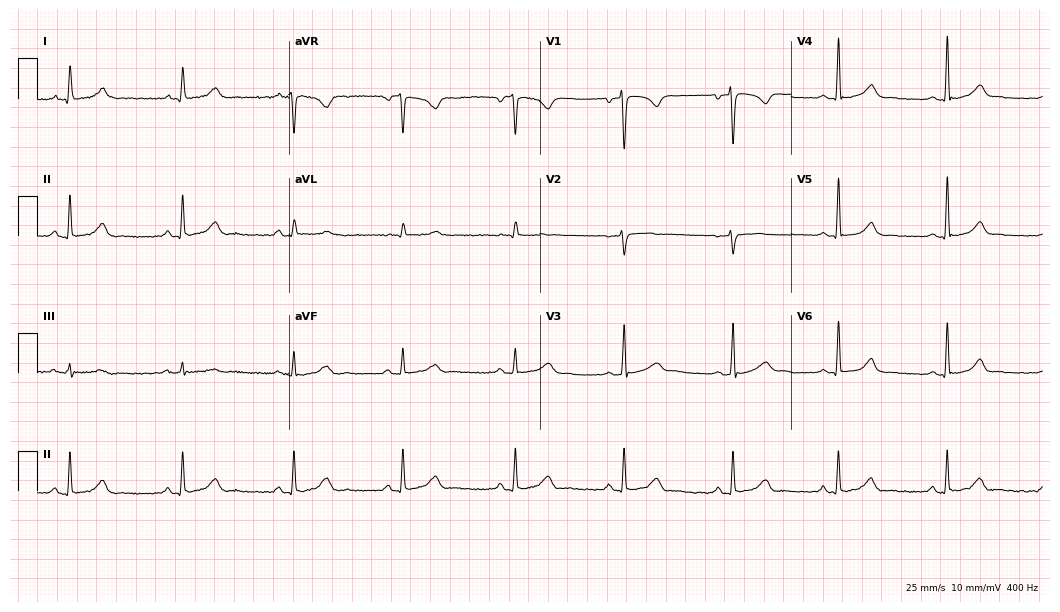
Electrocardiogram (10.2-second recording at 400 Hz), a 34-year-old woman. Of the six screened findings (first-degree AV block, right bundle branch block (RBBB), left bundle branch block (LBBB), sinus bradycardia, atrial fibrillation (AF), sinus tachycardia), none is recorded. Other findings, if any, are not listed.